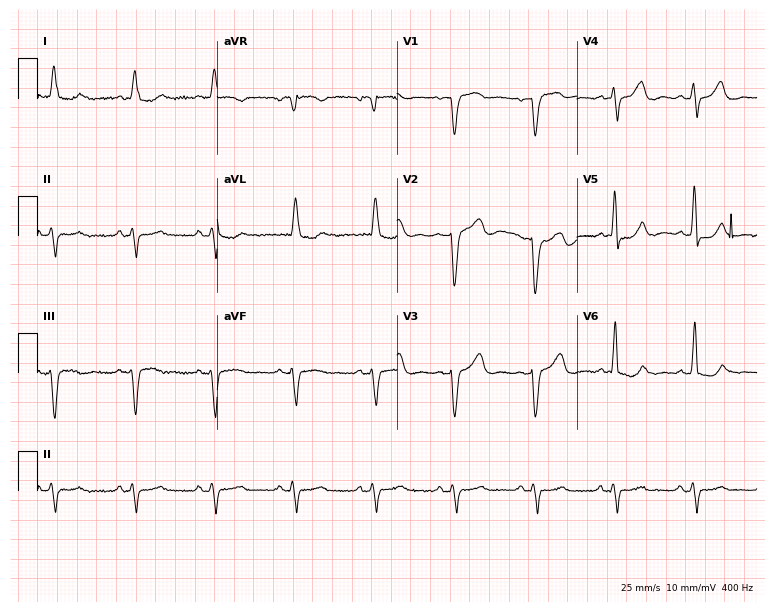
Resting 12-lead electrocardiogram (7.3-second recording at 400 Hz). Patient: an 87-year-old female. None of these six findings is recorded: first-degree AV block, right bundle branch block, left bundle branch block, sinus bradycardia, atrial fibrillation, sinus tachycardia.